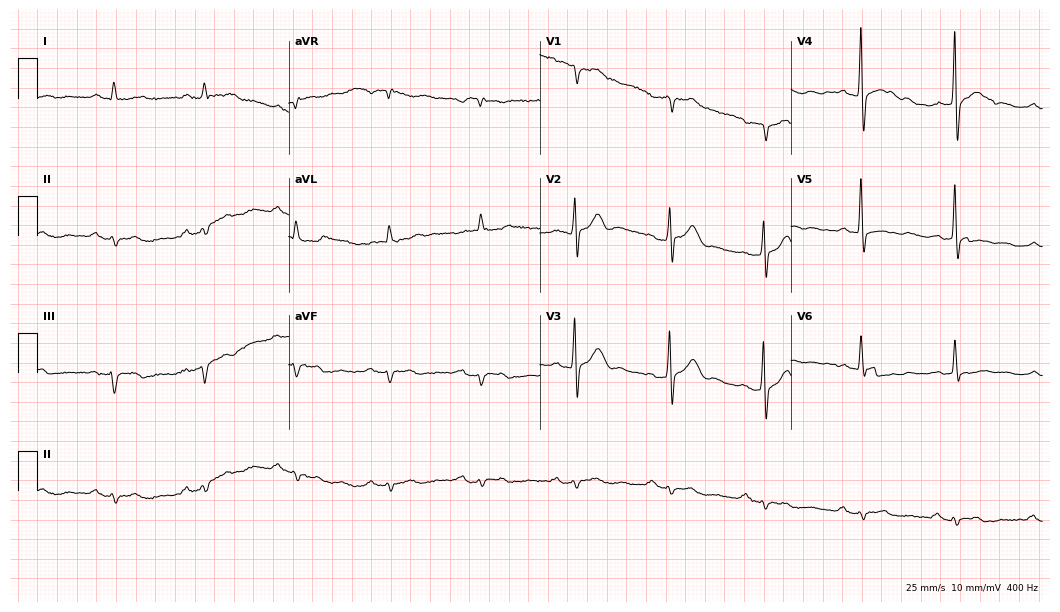
Electrocardiogram, a 50-year-old male. Interpretation includes first-degree AV block.